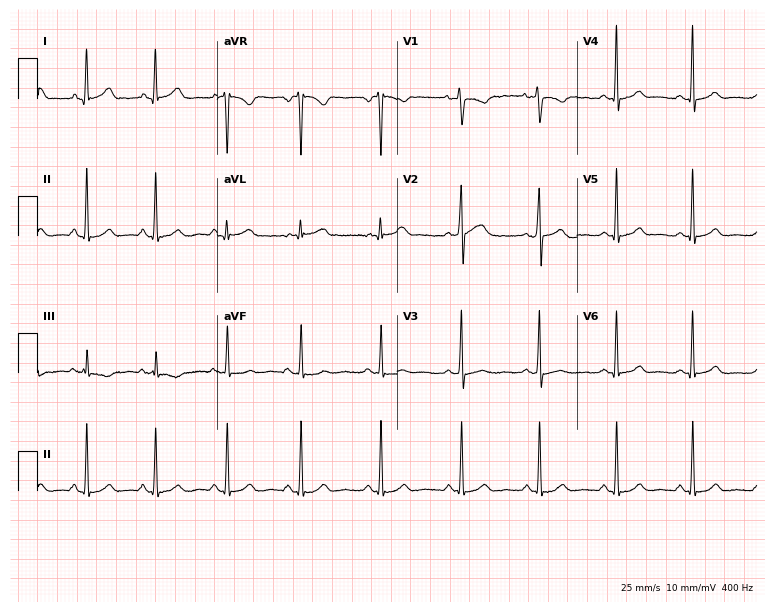
12-lead ECG from a 30-year-old female. Recorded interpretation: within normal limits.